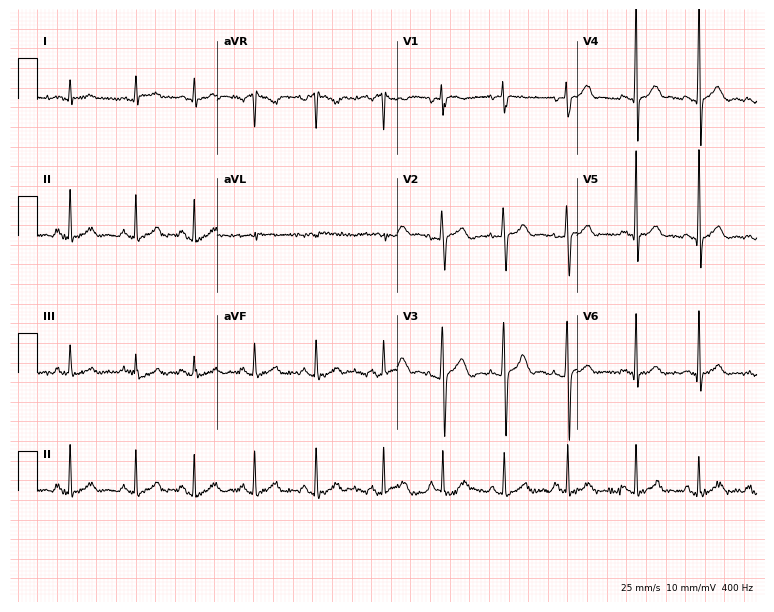
Resting 12-lead electrocardiogram (7.3-second recording at 400 Hz). Patient: an 18-year-old male. Read as a normal ECG.